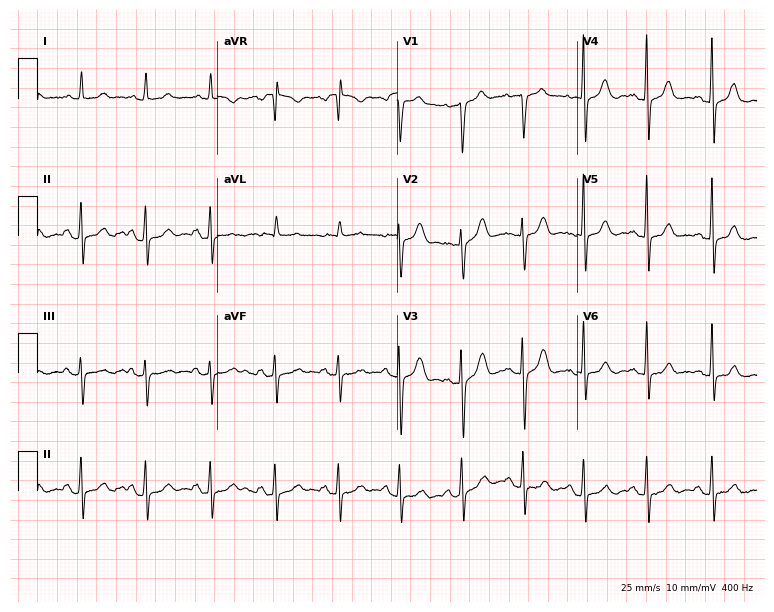
Electrocardiogram (7.3-second recording at 400 Hz), a woman, 59 years old. Overall reading on record: normal ECG.